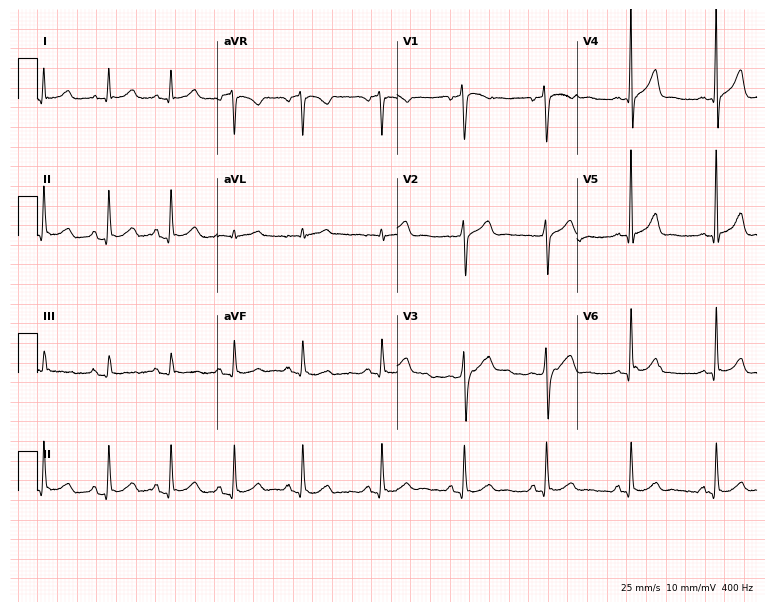
12-lead ECG from a 34-year-old man. Labelled as a normal ECG.